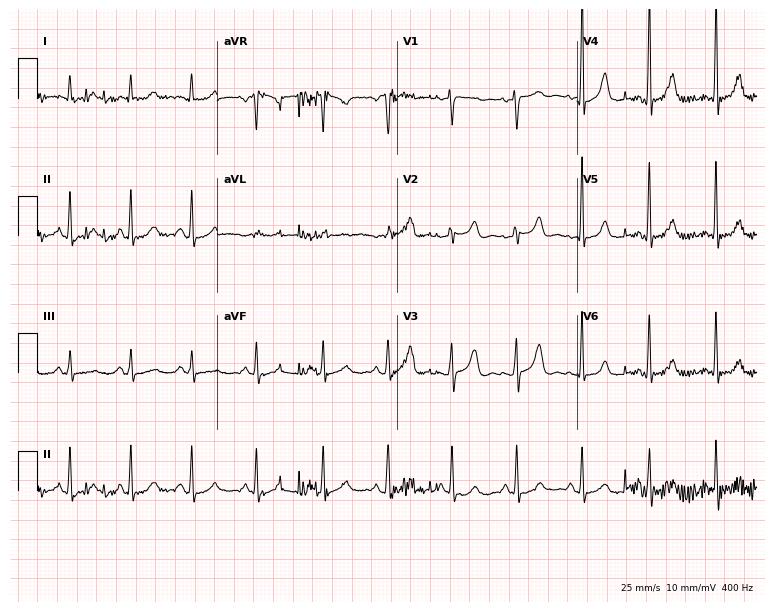
Electrocardiogram (7.3-second recording at 400 Hz), a female, 52 years old. Overall reading on record: normal ECG.